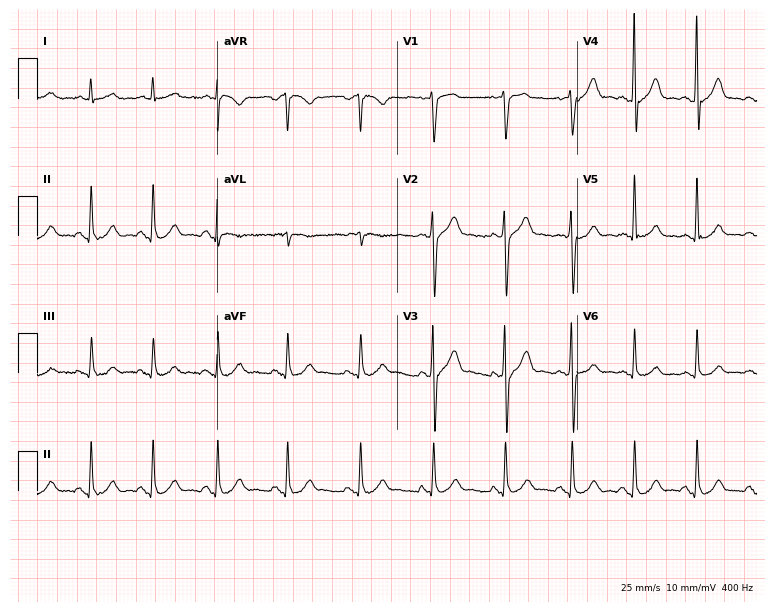
Resting 12-lead electrocardiogram. Patient: a man, 52 years old. Read as a normal ECG.